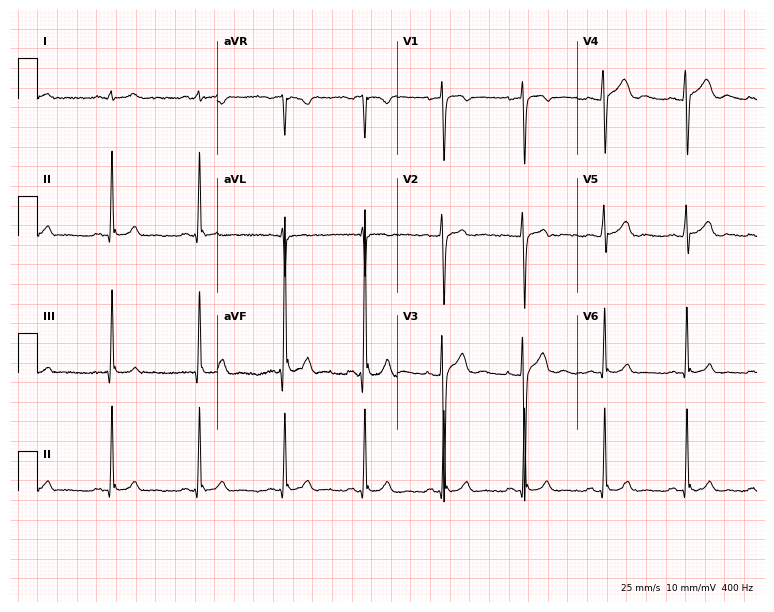
ECG — a 21-year-old man. Labelled as a normal ECG.